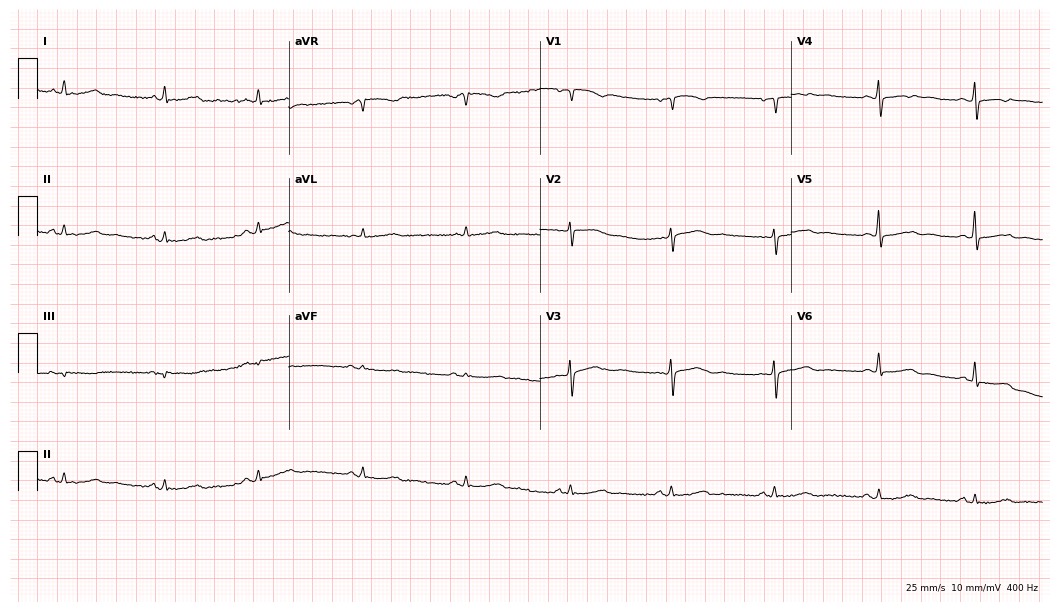
12-lead ECG from a man, 64 years old. Screened for six findings — first-degree AV block, right bundle branch block, left bundle branch block, sinus bradycardia, atrial fibrillation, sinus tachycardia — none is recorded.